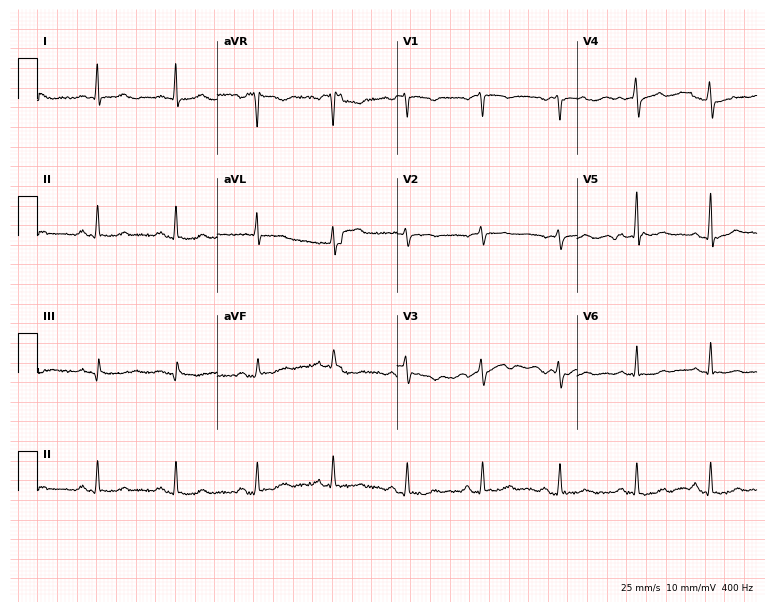
12-lead ECG from a woman, 58 years old. No first-degree AV block, right bundle branch block, left bundle branch block, sinus bradycardia, atrial fibrillation or sinus tachycardia recorded for this tracing. Only these six findings were labelled.